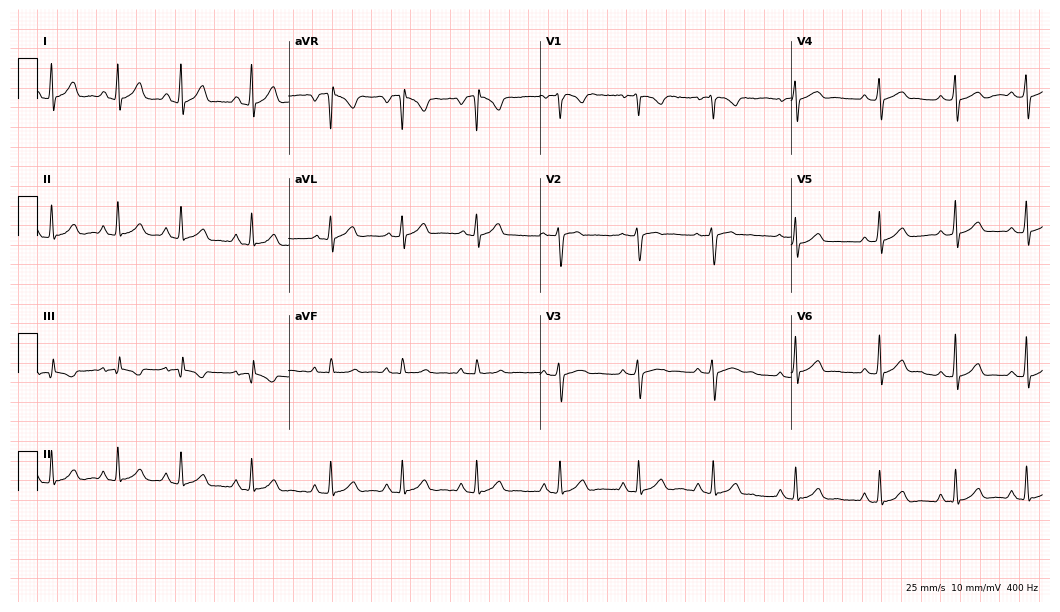
12-lead ECG from a female, 18 years old (10.2-second recording at 400 Hz). Recorded interpretation: within normal limits.